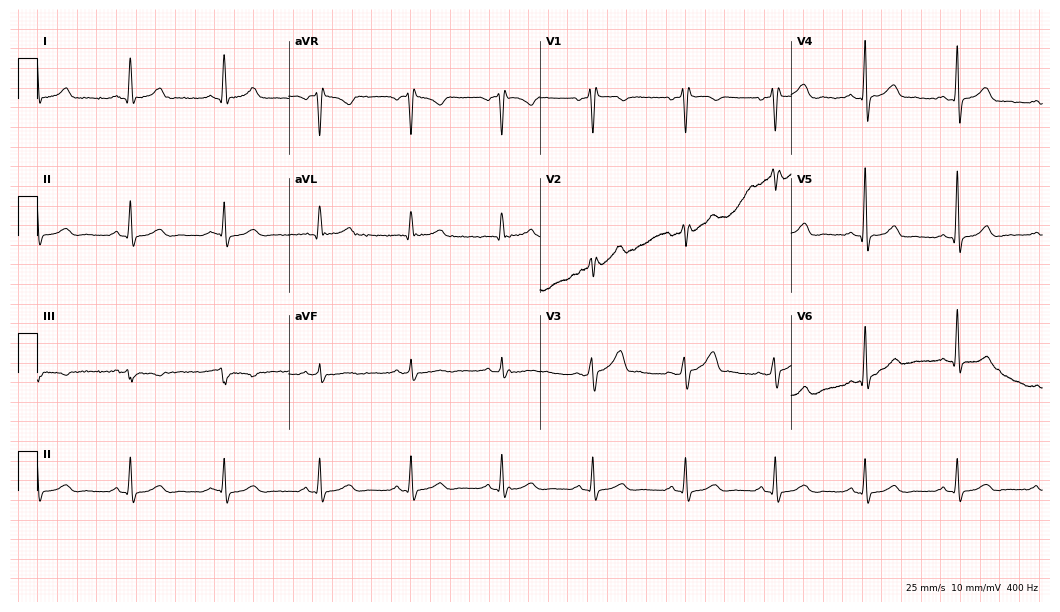
Standard 12-lead ECG recorded from a man, 44 years old. None of these six findings is recorded: first-degree AV block, right bundle branch block, left bundle branch block, sinus bradycardia, atrial fibrillation, sinus tachycardia. Findings outside these six are not listed.